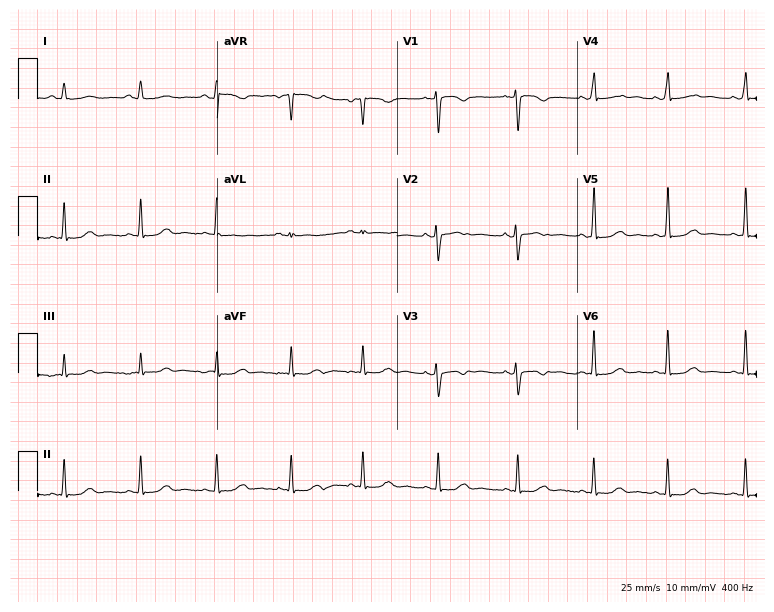
12-lead ECG (7.3-second recording at 400 Hz) from a 38-year-old woman. Screened for six findings — first-degree AV block, right bundle branch block, left bundle branch block, sinus bradycardia, atrial fibrillation, sinus tachycardia — none is recorded.